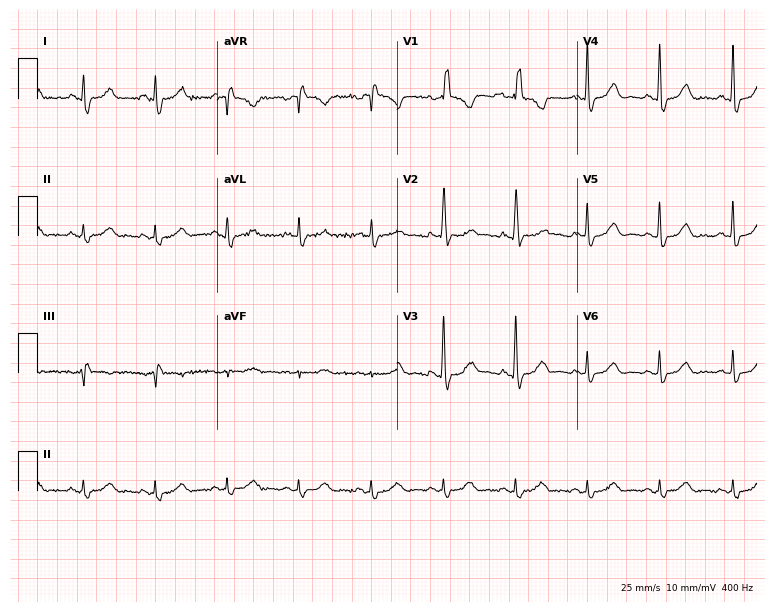
12-lead ECG from a woman, 61 years old. No first-degree AV block, right bundle branch block, left bundle branch block, sinus bradycardia, atrial fibrillation or sinus tachycardia recorded for this tracing. Only these six findings were labelled.